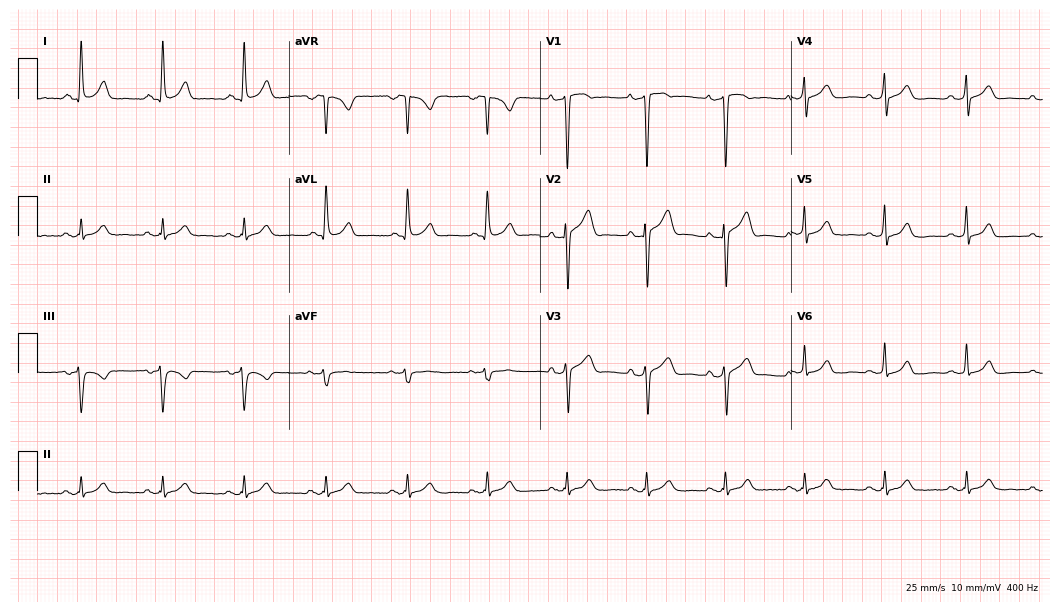
Electrocardiogram (10.2-second recording at 400 Hz), a 49-year-old man. Of the six screened findings (first-degree AV block, right bundle branch block, left bundle branch block, sinus bradycardia, atrial fibrillation, sinus tachycardia), none is recorded. Other findings, if any, are not listed.